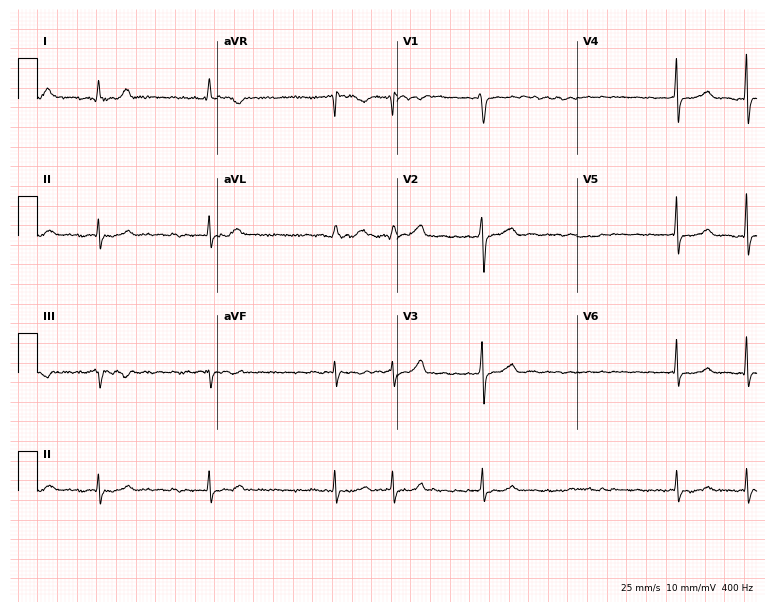
Resting 12-lead electrocardiogram (7.3-second recording at 400 Hz). Patient: a male, 53 years old. The tracing shows atrial fibrillation.